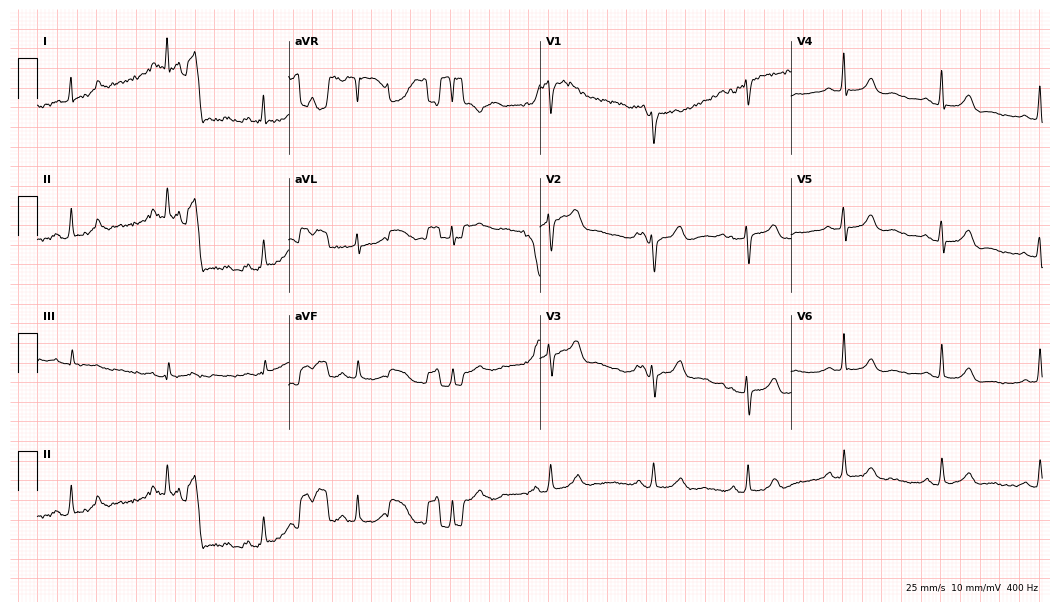
Electrocardiogram (10.2-second recording at 400 Hz), a 71-year-old female. Overall reading on record: normal ECG.